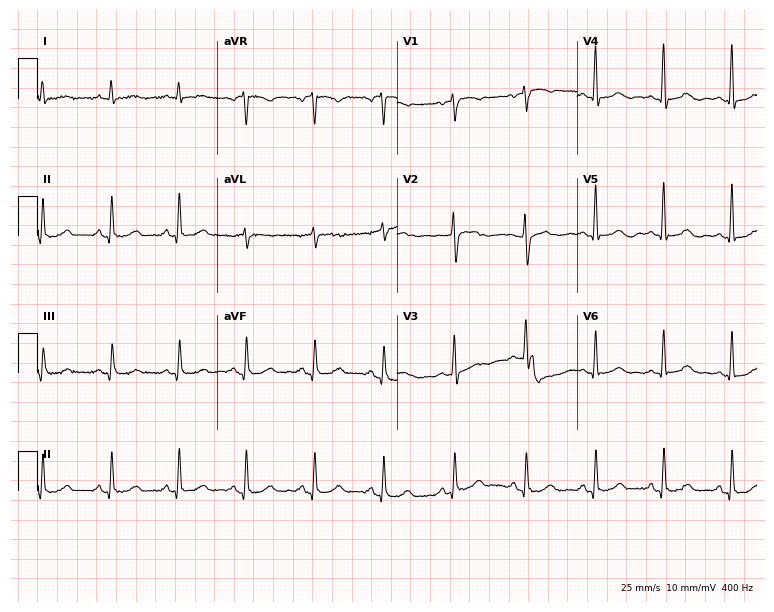
Standard 12-lead ECG recorded from a 64-year-old woman. Read as a normal ECG.